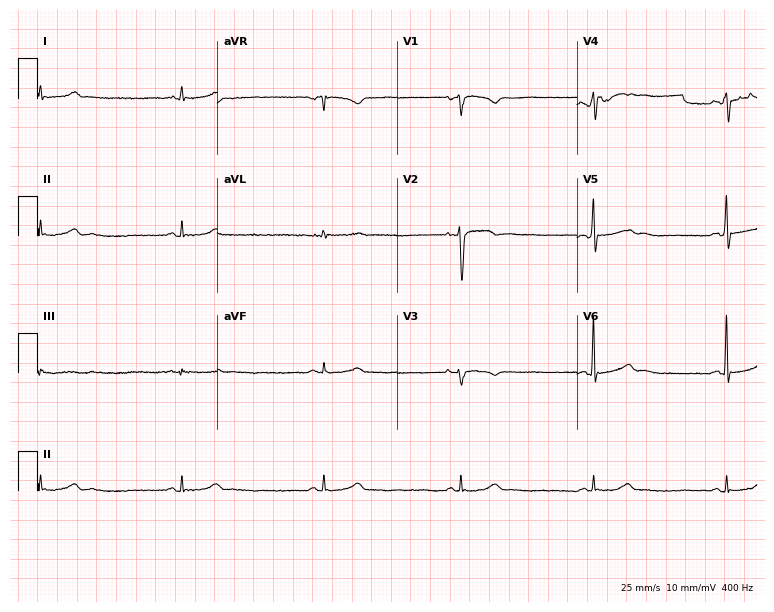
12-lead ECG from a 42-year-old man. Shows sinus bradycardia (a sinus rate of 50 beats per minute or less).